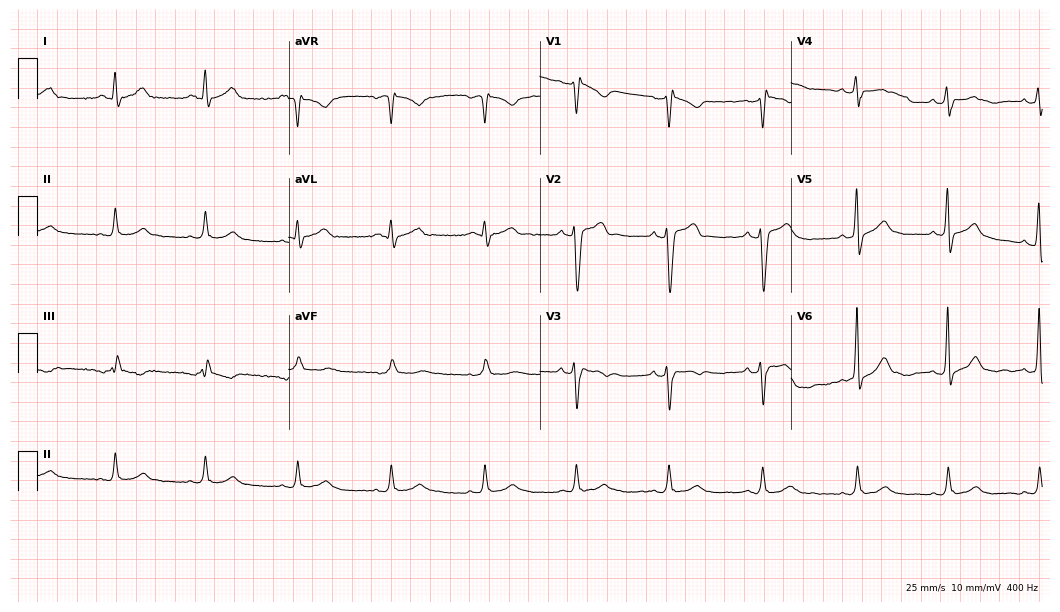
12-lead ECG from a 40-year-old male patient. No first-degree AV block, right bundle branch block, left bundle branch block, sinus bradycardia, atrial fibrillation or sinus tachycardia recorded for this tracing. Findings outside these six are not listed.